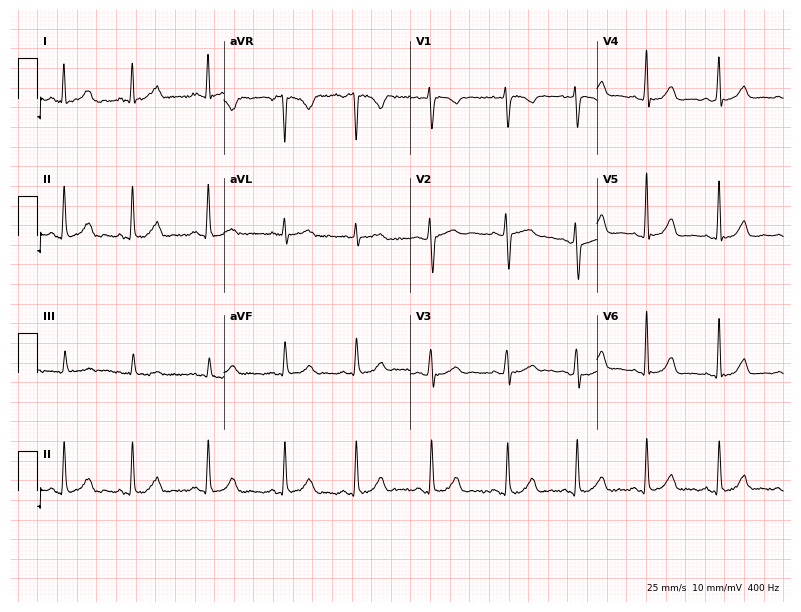
12-lead ECG (7.6-second recording at 400 Hz) from a woman, 34 years old. Labelled as a normal ECG.